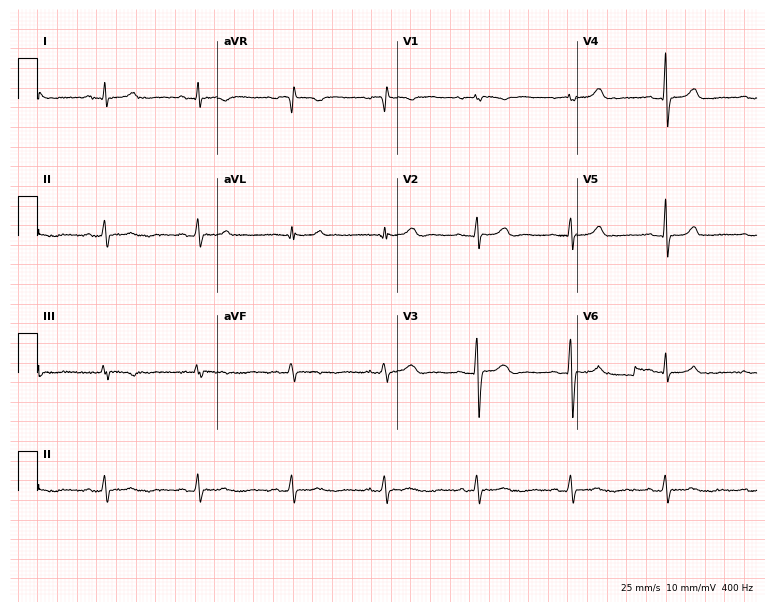
Standard 12-lead ECG recorded from a woman, 44 years old (7.3-second recording at 400 Hz). Read as a normal ECG.